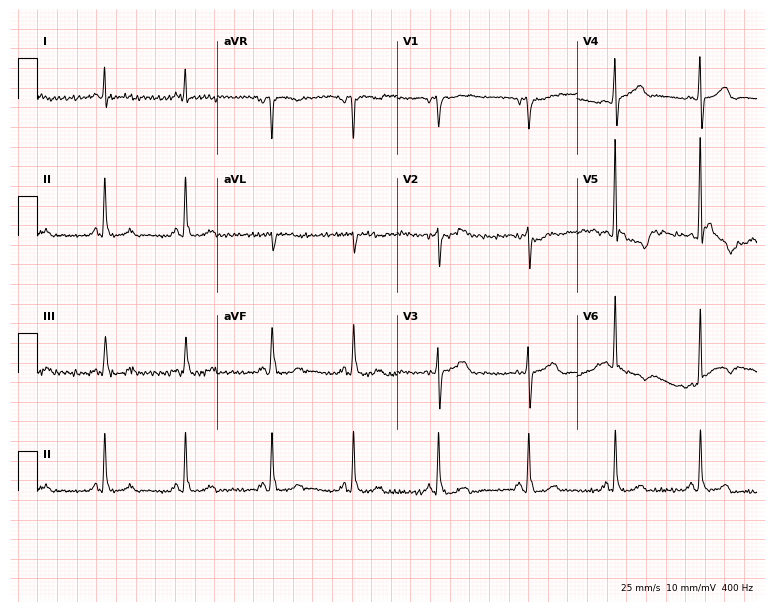
Standard 12-lead ECG recorded from a female, 68 years old. None of these six findings is recorded: first-degree AV block, right bundle branch block, left bundle branch block, sinus bradycardia, atrial fibrillation, sinus tachycardia. Findings outside these six are not listed.